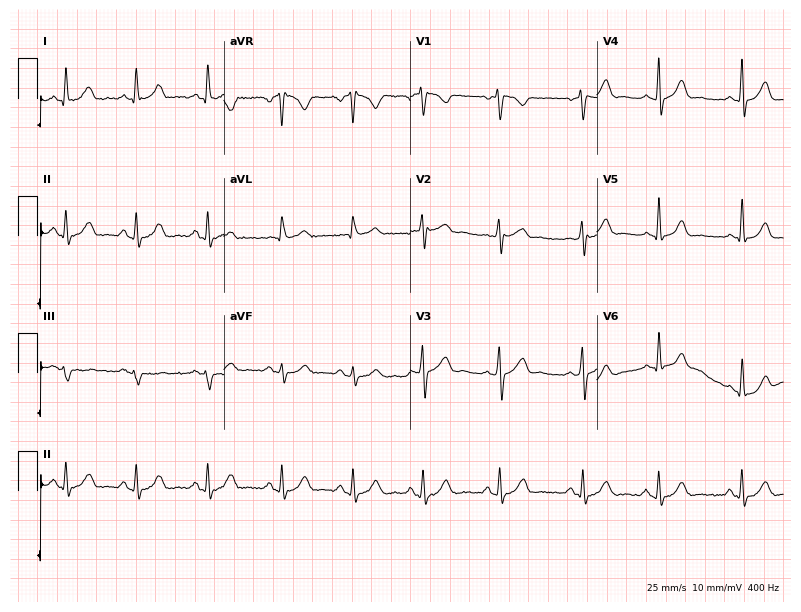
Electrocardiogram, a 34-year-old woman. Of the six screened findings (first-degree AV block, right bundle branch block, left bundle branch block, sinus bradycardia, atrial fibrillation, sinus tachycardia), none is recorded.